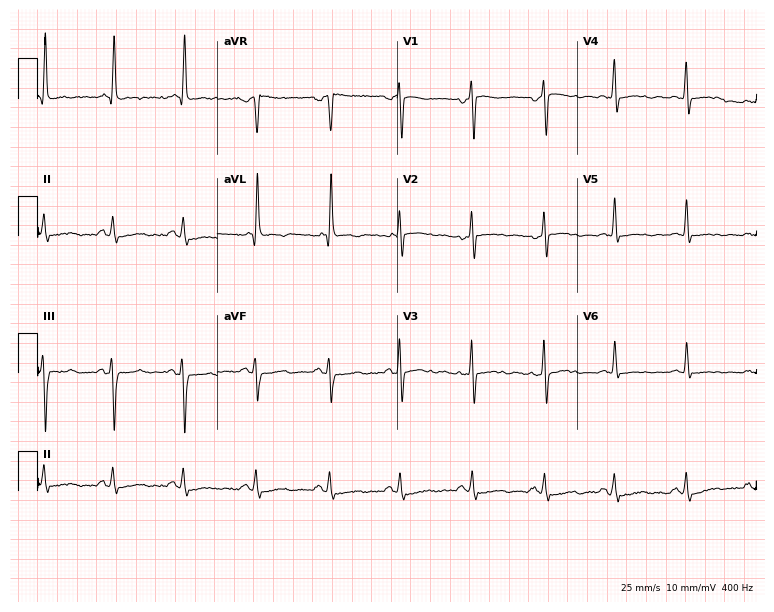
12-lead ECG from a female, 71 years old. Screened for six findings — first-degree AV block, right bundle branch block, left bundle branch block, sinus bradycardia, atrial fibrillation, sinus tachycardia — none is recorded.